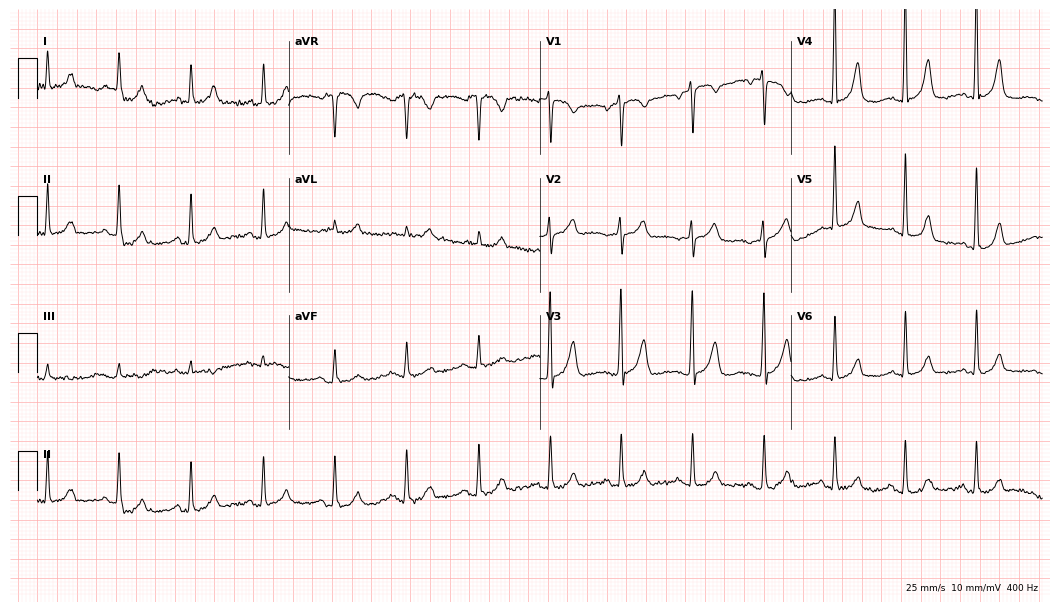
ECG — an 84-year-old woman. Screened for six findings — first-degree AV block, right bundle branch block, left bundle branch block, sinus bradycardia, atrial fibrillation, sinus tachycardia — none is recorded.